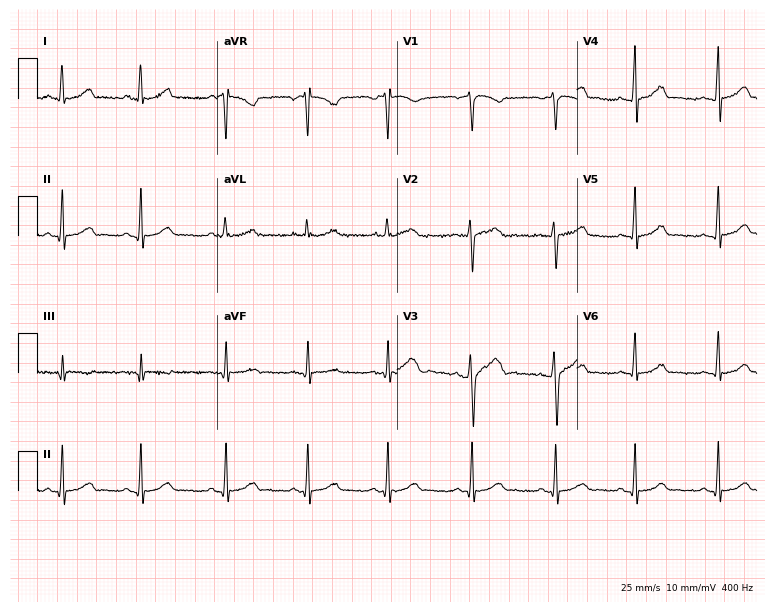
Resting 12-lead electrocardiogram (7.3-second recording at 400 Hz). Patient: a female, 31 years old. Read as a normal ECG.